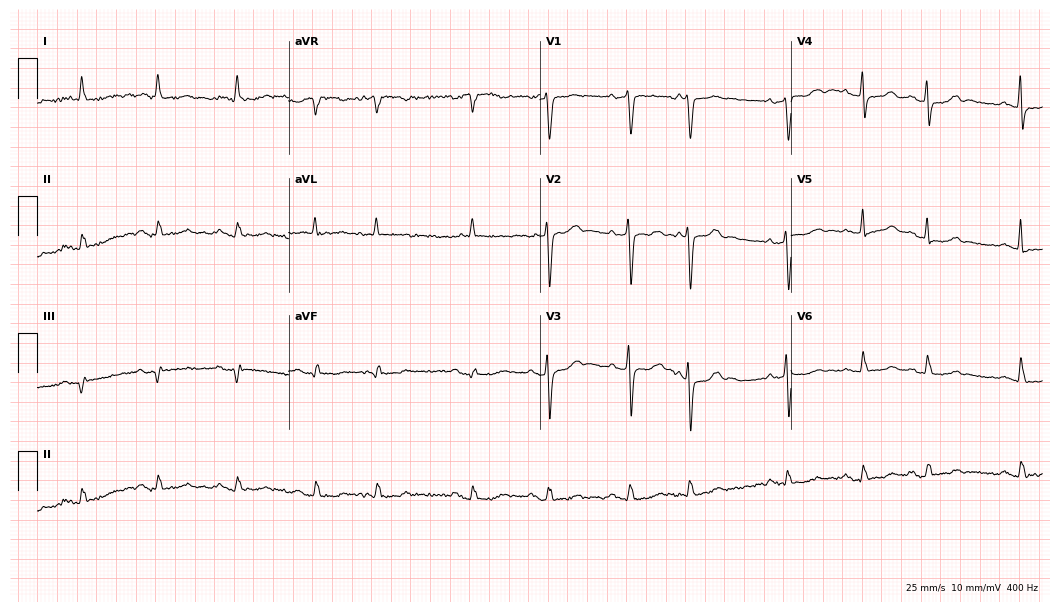
ECG — a male patient, 80 years old. Screened for six findings — first-degree AV block, right bundle branch block (RBBB), left bundle branch block (LBBB), sinus bradycardia, atrial fibrillation (AF), sinus tachycardia — none is recorded.